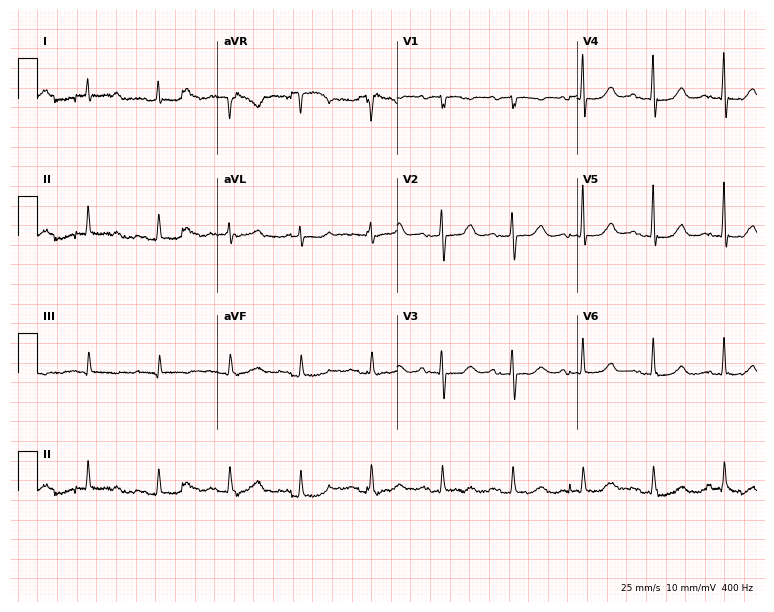
Standard 12-lead ECG recorded from an 86-year-old female (7.3-second recording at 400 Hz). None of these six findings is recorded: first-degree AV block, right bundle branch block, left bundle branch block, sinus bradycardia, atrial fibrillation, sinus tachycardia. Only these six findings were labelled.